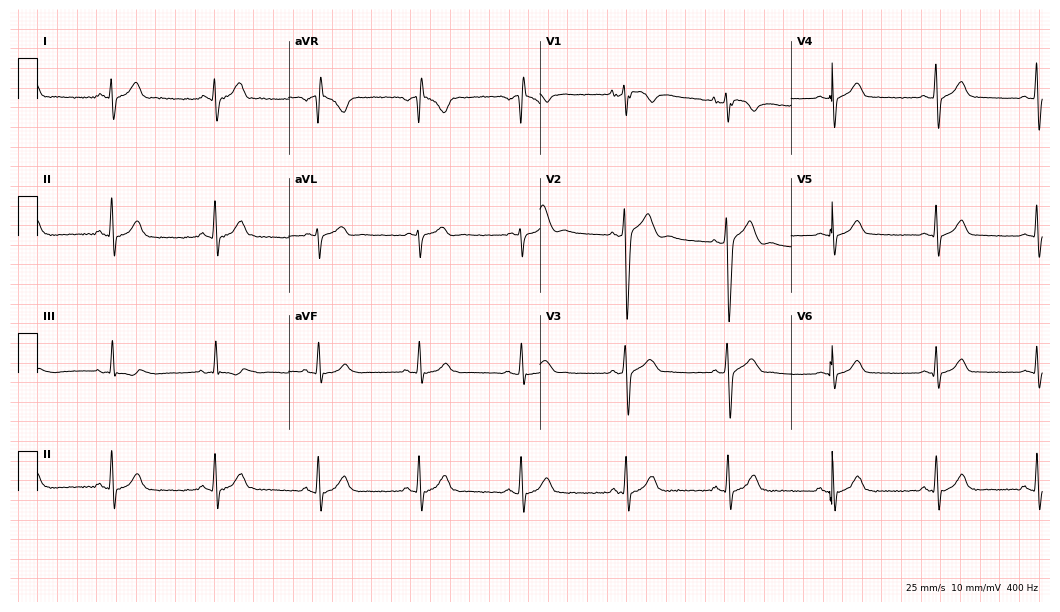
12-lead ECG (10.2-second recording at 400 Hz) from a man, 28 years old. Screened for six findings — first-degree AV block, right bundle branch block, left bundle branch block, sinus bradycardia, atrial fibrillation, sinus tachycardia — none is recorded. Only these six findings were labelled.